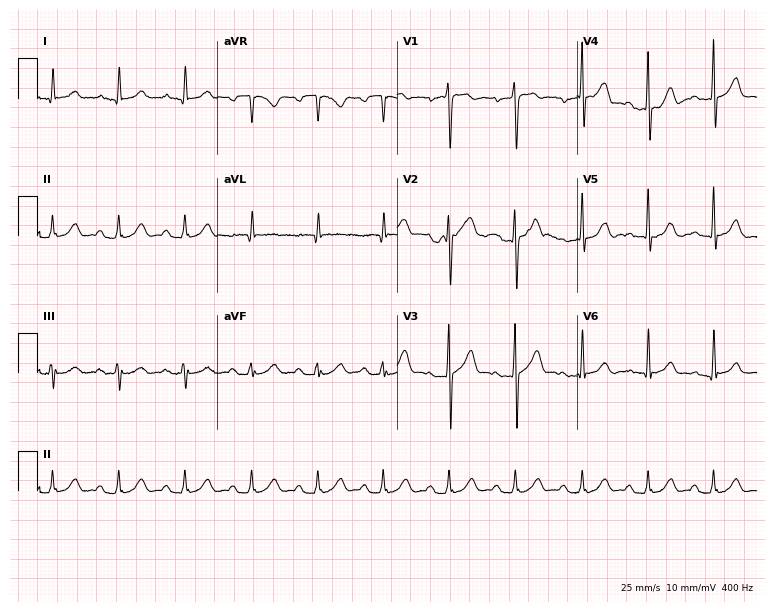
ECG — a 66-year-old man. Labelled as a normal ECG.